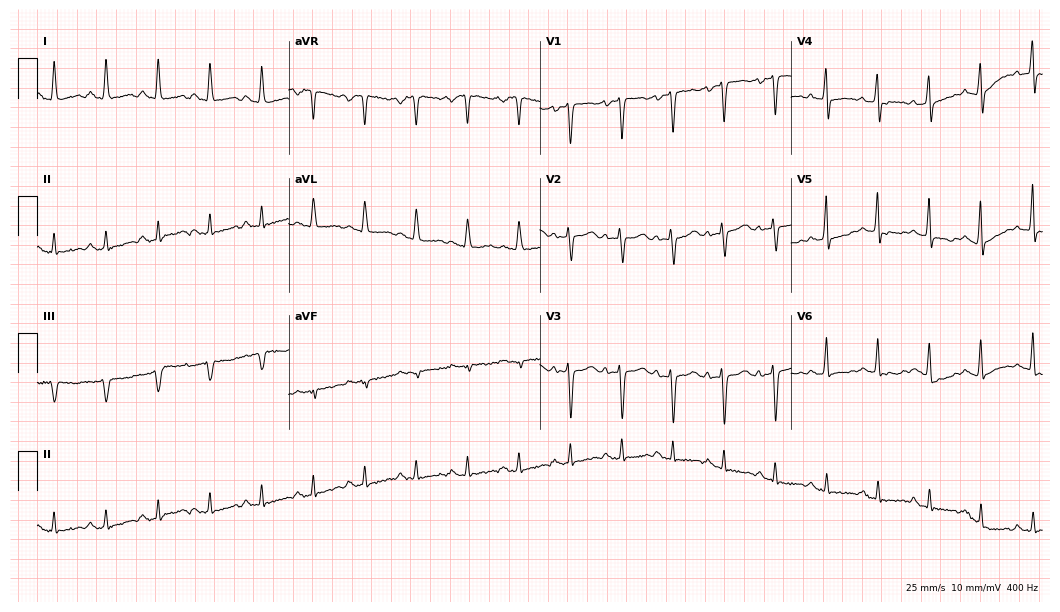
12-lead ECG from a 48-year-old female patient. Findings include sinus tachycardia (a sinus rate of 100 beats per minute or more).